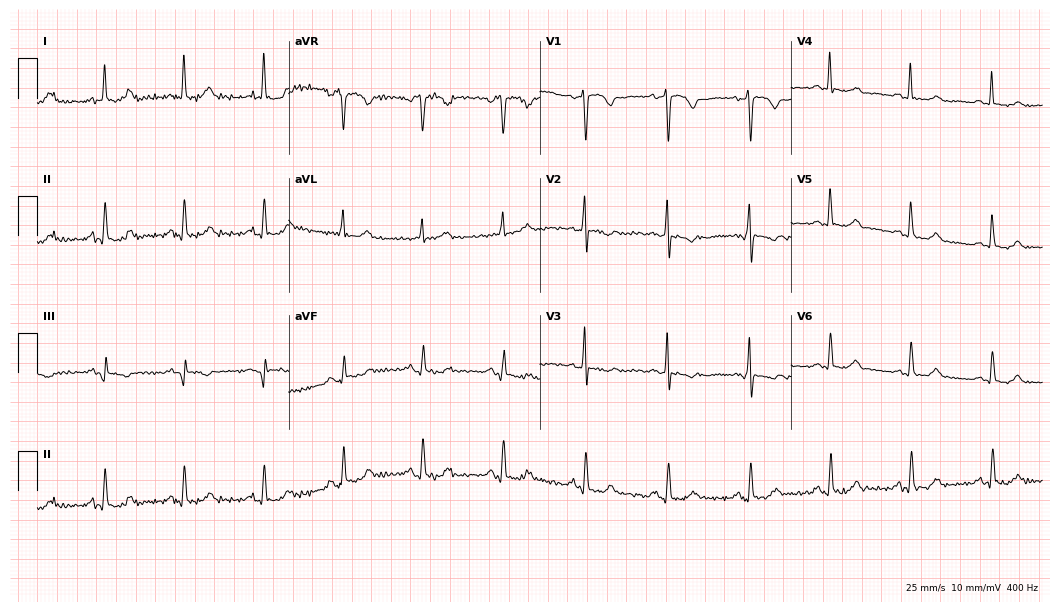
Electrocardiogram (10.2-second recording at 400 Hz), a woman, 64 years old. Of the six screened findings (first-degree AV block, right bundle branch block (RBBB), left bundle branch block (LBBB), sinus bradycardia, atrial fibrillation (AF), sinus tachycardia), none is recorded.